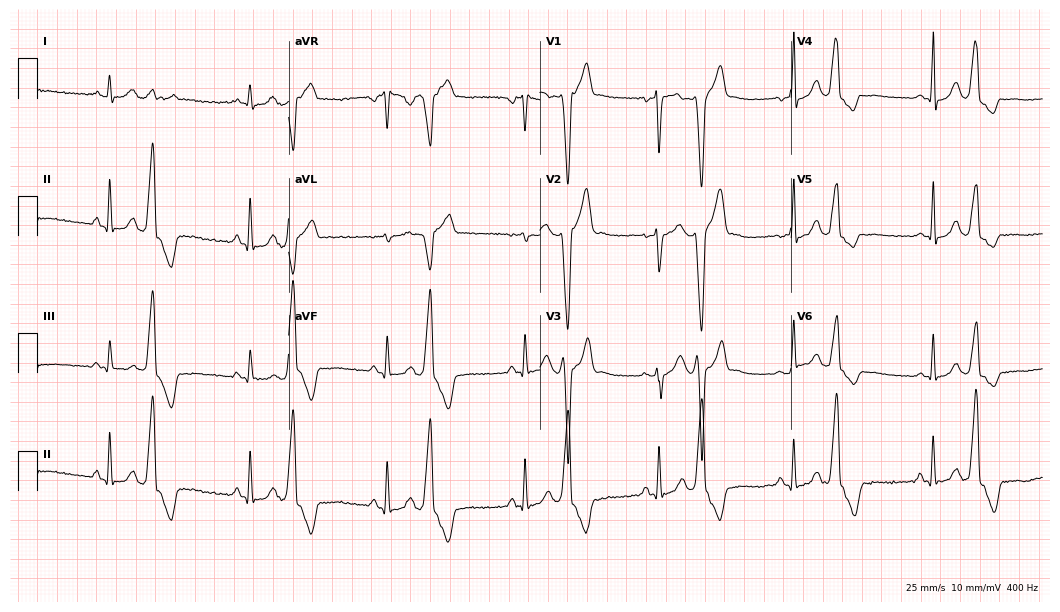
ECG — a 34-year-old female. Screened for six findings — first-degree AV block, right bundle branch block, left bundle branch block, sinus bradycardia, atrial fibrillation, sinus tachycardia — none is recorded. Only these six findings were labelled.